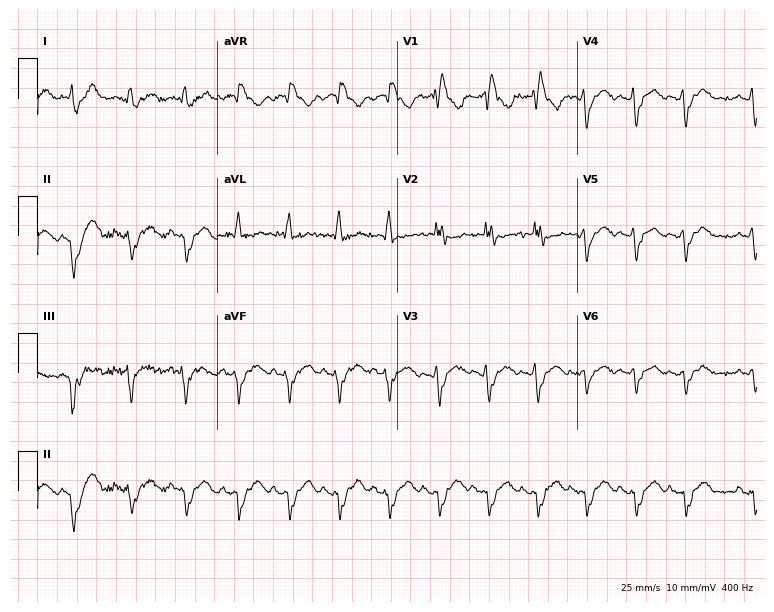
12-lead ECG from a 36-year-old woman. Shows right bundle branch block.